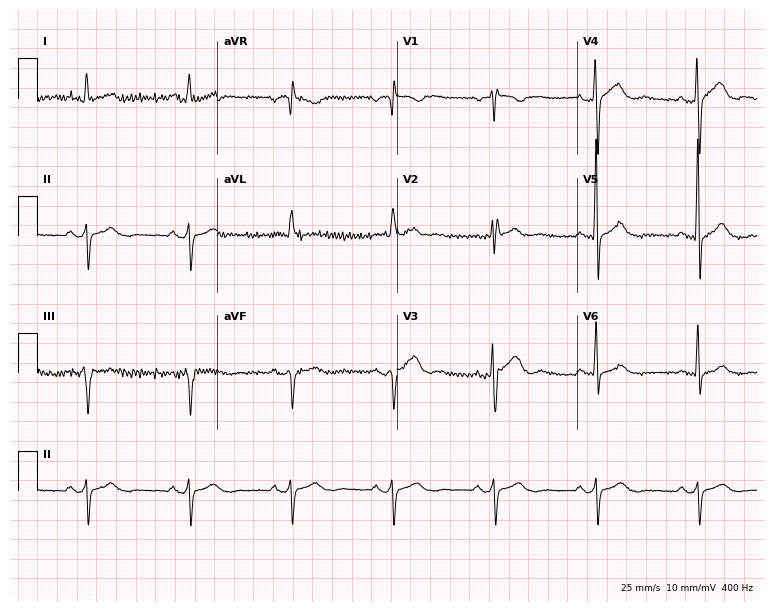
12-lead ECG from a male, 78 years old (7.3-second recording at 400 Hz). No first-degree AV block, right bundle branch block, left bundle branch block, sinus bradycardia, atrial fibrillation or sinus tachycardia recorded for this tracing. Other findings, if any, are not listed.